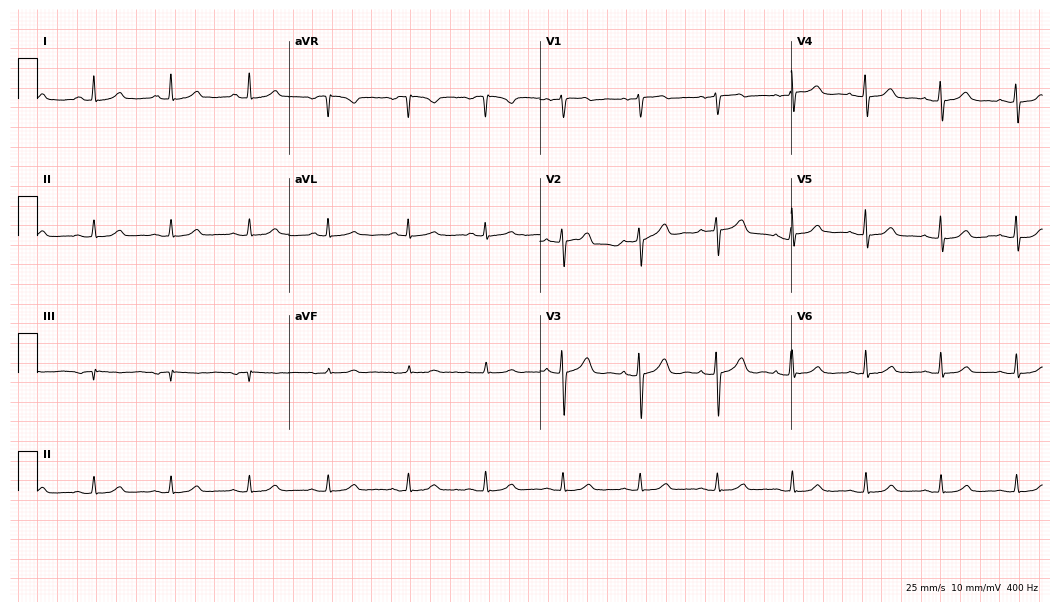
Standard 12-lead ECG recorded from a female, 65 years old (10.2-second recording at 400 Hz). Read as a normal ECG.